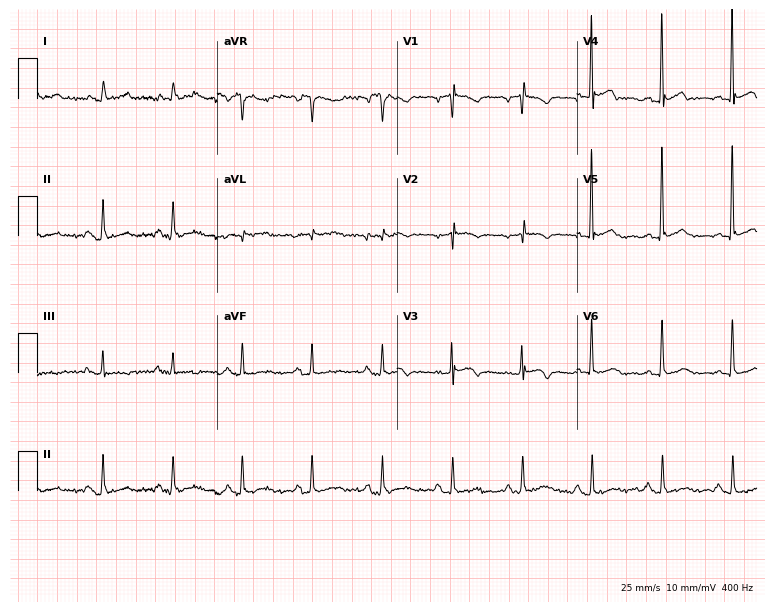
ECG (7.3-second recording at 400 Hz) — a 77-year-old woman. Screened for six findings — first-degree AV block, right bundle branch block, left bundle branch block, sinus bradycardia, atrial fibrillation, sinus tachycardia — none is recorded.